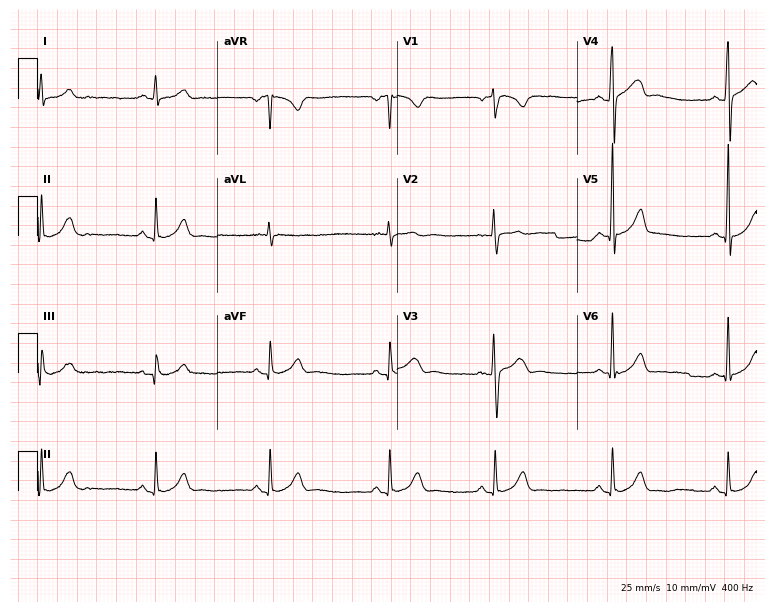
Electrocardiogram, a man, 17 years old. Overall reading on record: normal ECG.